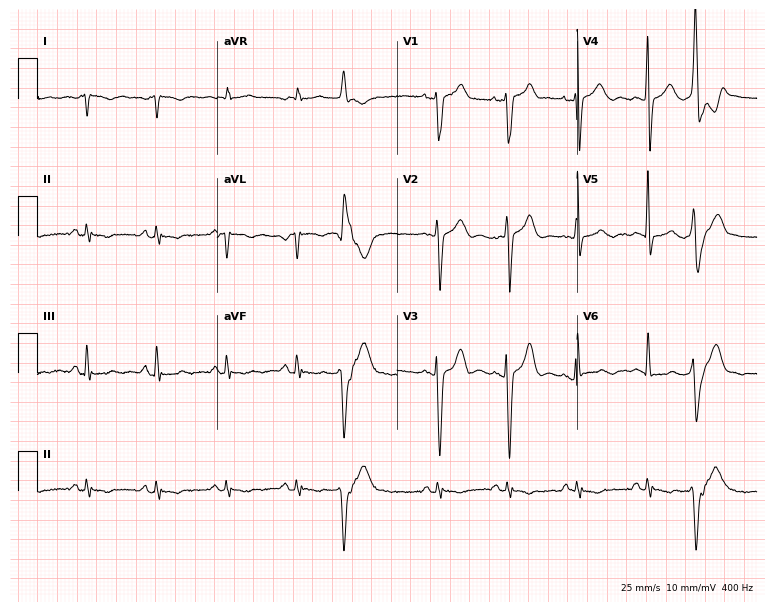
Electrocardiogram, a male patient, 62 years old. Of the six screened findings (first-degree AV block, right bundle branch block (RBBB), left bundle branch block (LBBB), sinus bradycardia, atrial fibrillation (AF), sinus tachycardia), none is recorded.